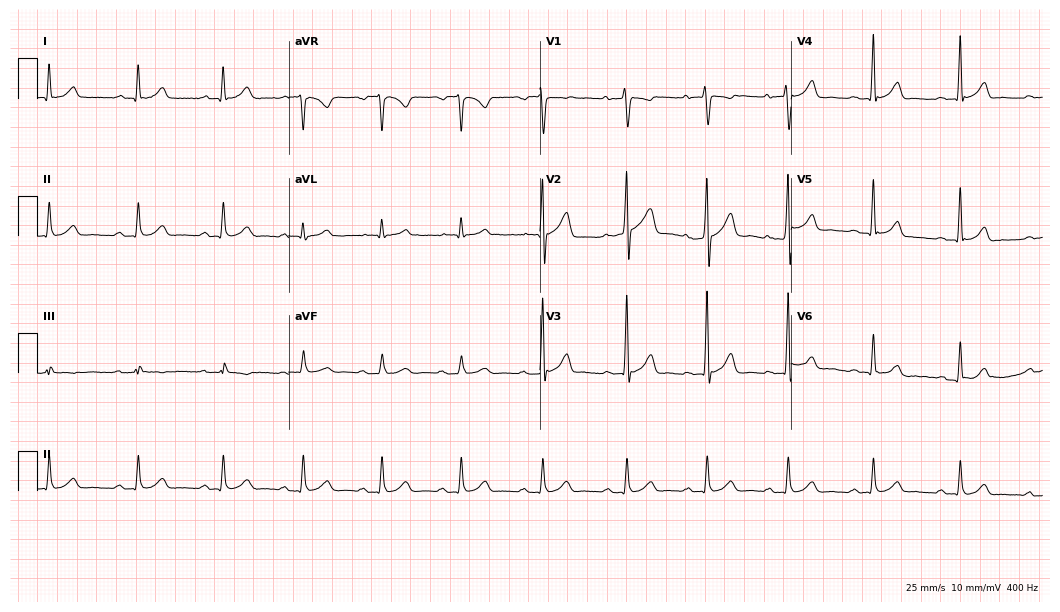
Resting 12-lead electrocardiogram. Patient: a male, 38 years old. None of these six findings is recorded: first-degree AV block, right bundle branch block, left bundle branch block, sinus bradycardia, atrial fibrillation, sinus tachycardia. Other findings, if any, are not listed.